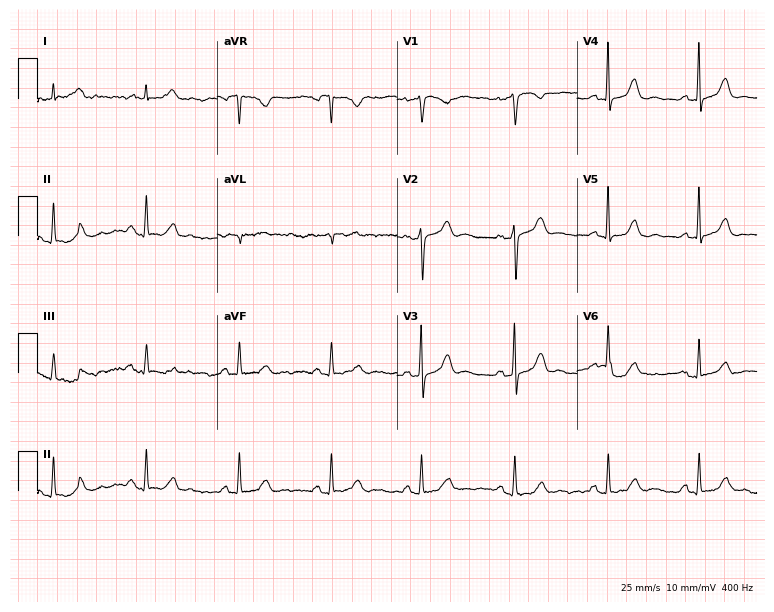
Standard 12-lead ECG recorded from a 56-year-old female (7.3-second recording at 400 Hz). None of these six findings is recorded: first-degree AV block, right bundle branch block, left bundle branch block, sinus bradycardia, atrial fibrillation, sinus tachycardia.